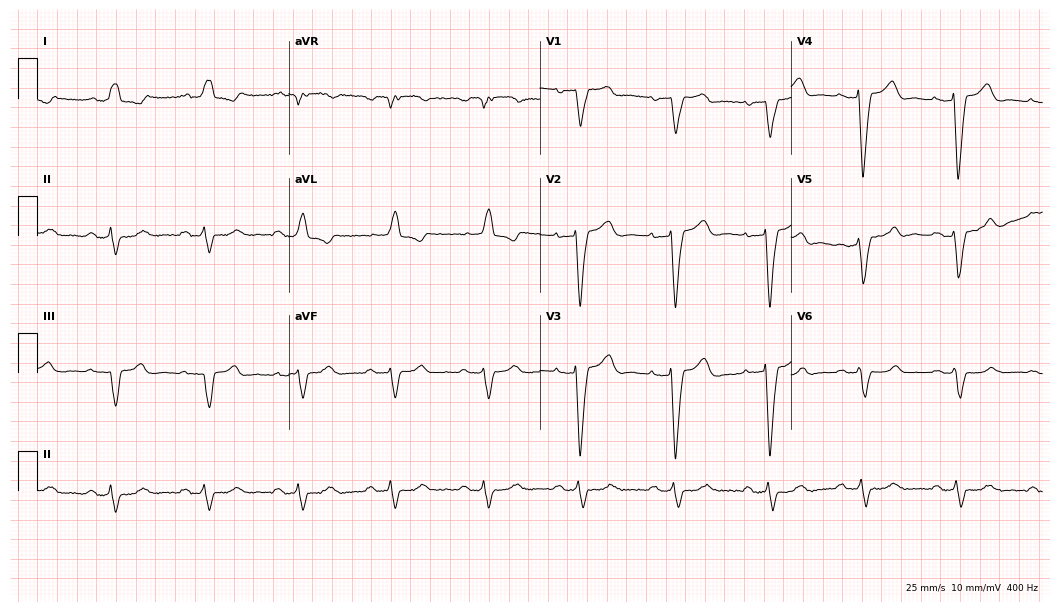
ECG — a 61-year-old female. Findings include first-degree AV block, left bundle branch block (LBBB).